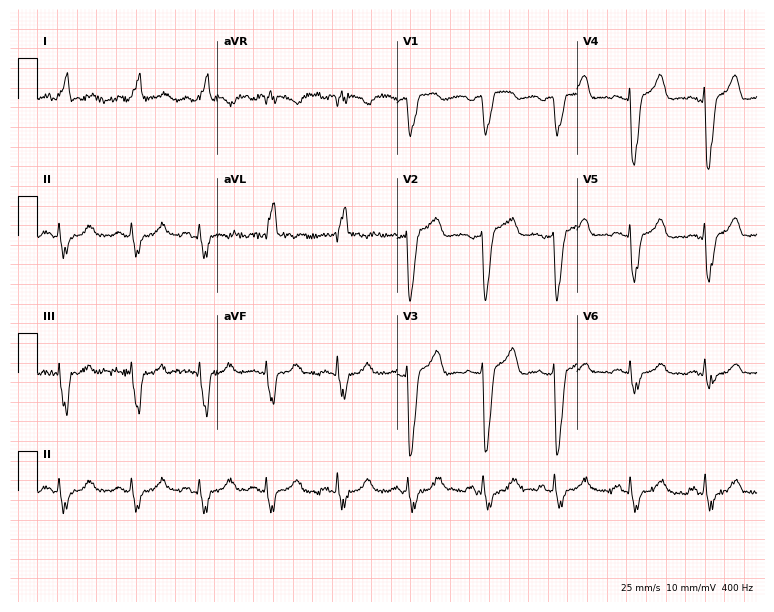
12-lead ECG (7.3-second recording at 400 Hz) from a 67-year-old woman. Findings include left bundle branch block.